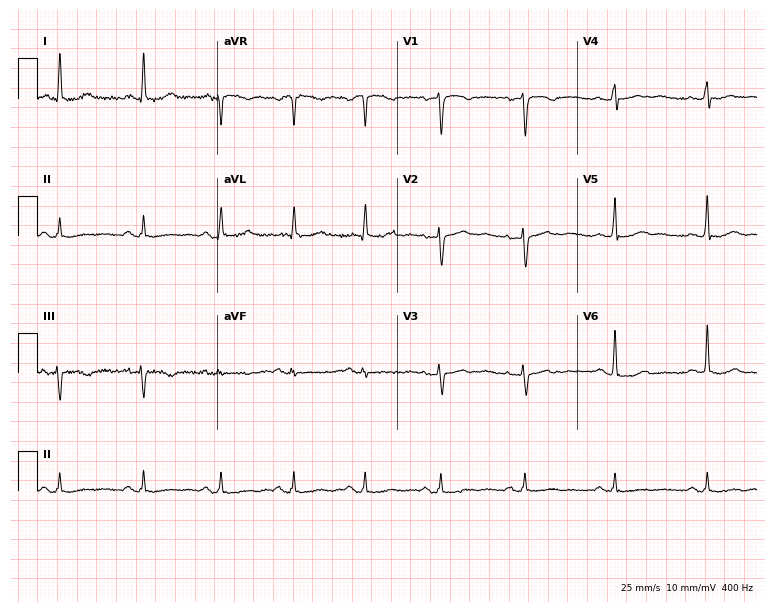
12-lead ECG from a 45-year-old woman. Recorded interpretation: within normal limits.